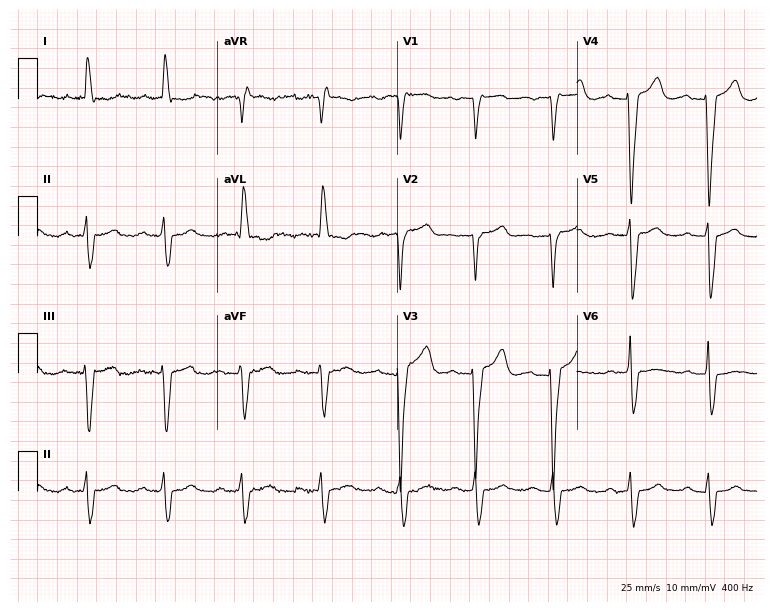
ECG (7.3-second recording at 400 Hz) — a 59-year-old female patient. Findings include first-degree AV block, left bundle branch block (LBBB).